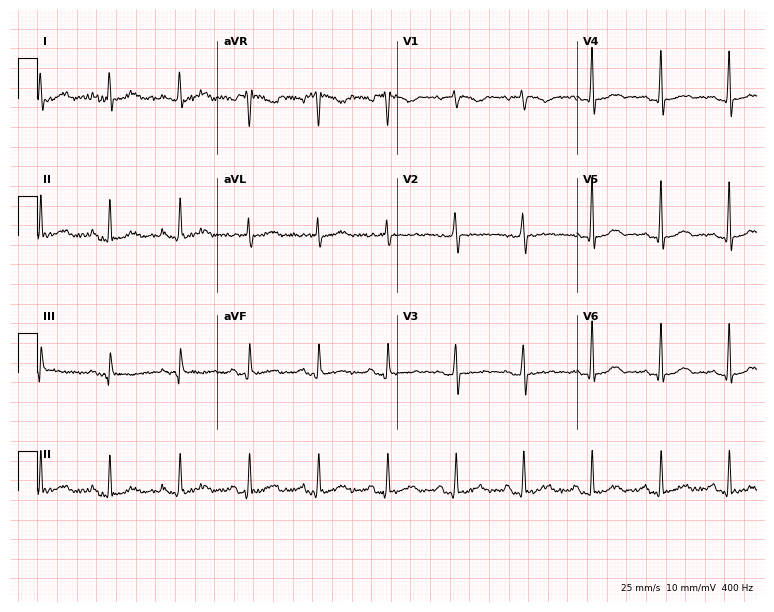
12-lead ECG from a 53-year-old woman (7.3-second recording at 400 Hz). No first-degree AV block, right bundle branch block, left bundle branch block, sinus bradycardia, atrial fibrillation or sinus tachycardia recorded for this tracing.